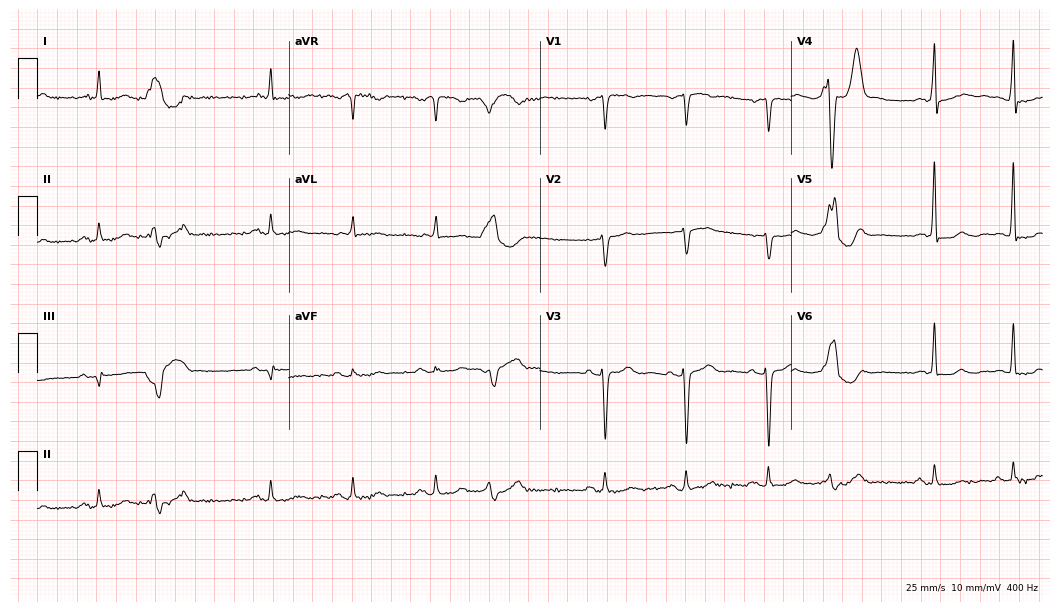
12-lead ECG from a 69-year-old man. No first-degree AV block, right bundle branch block, left bundle branch block, sinus bradycardia, atrial fibrillation or sinus tachycardia recorded for this tracing. Only these six findings were labelled.